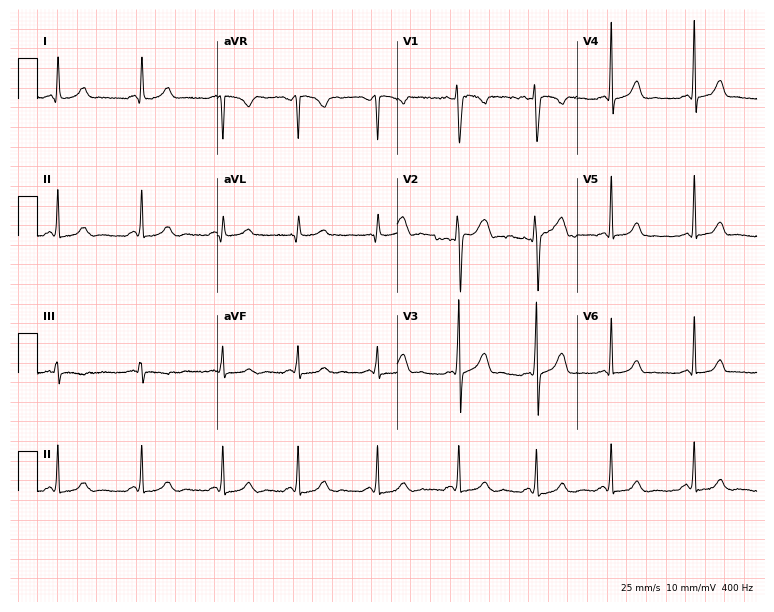
Electrocardiogram, a 23-year-old woman. Overall reading on record: normal ECG.